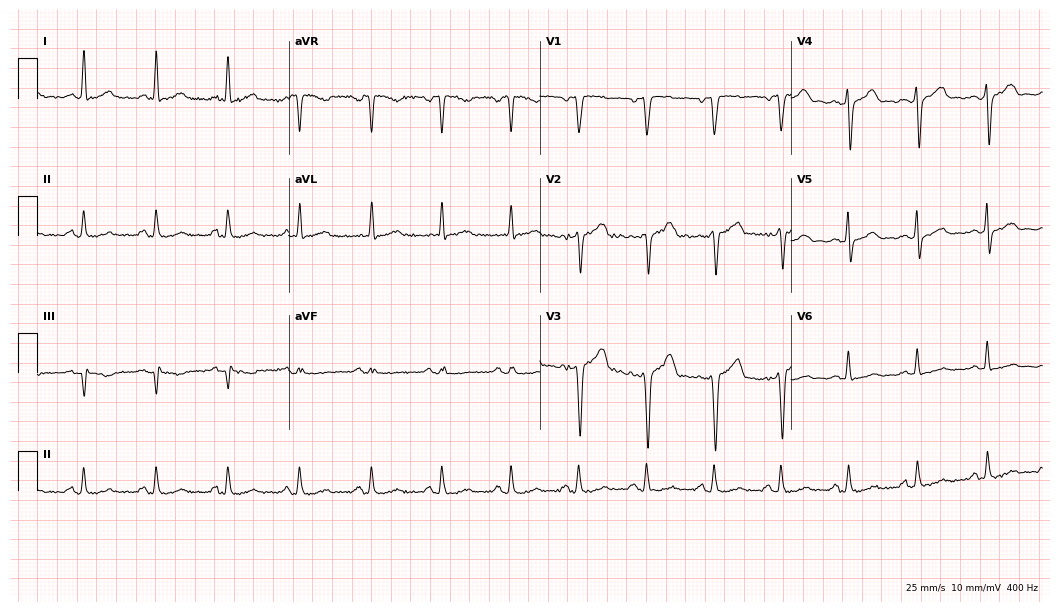
Standard 12-lead ECG recorded from a 48-year-old male patient (10.2-second recording at 400 Hz). Read as a normal ECG.